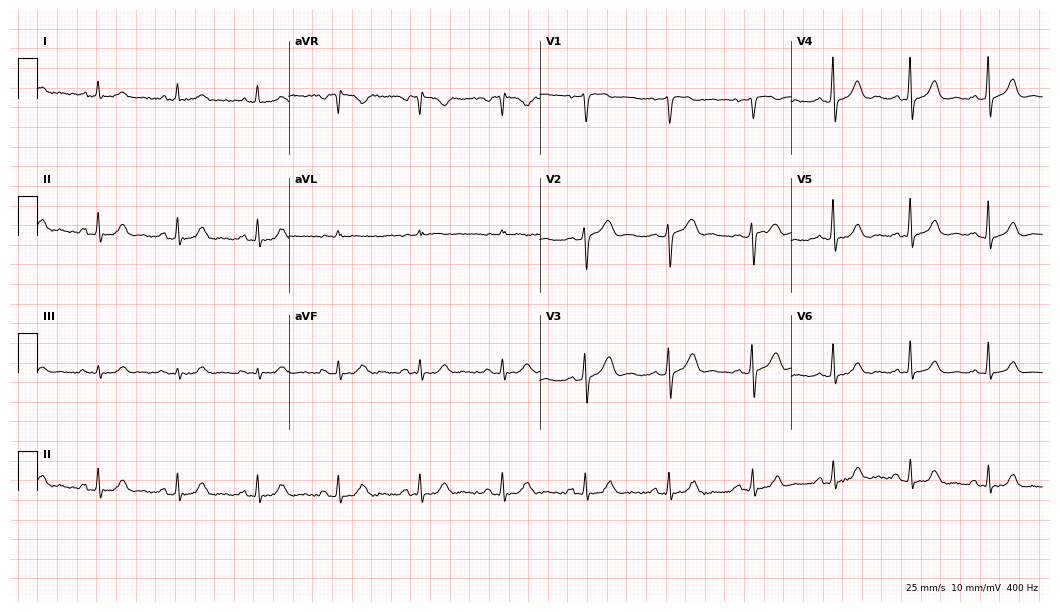
12-lead ECG (10.2-second recording at 400 Hz) from a 68-year-old male patient. Labelled as a normal ECG.